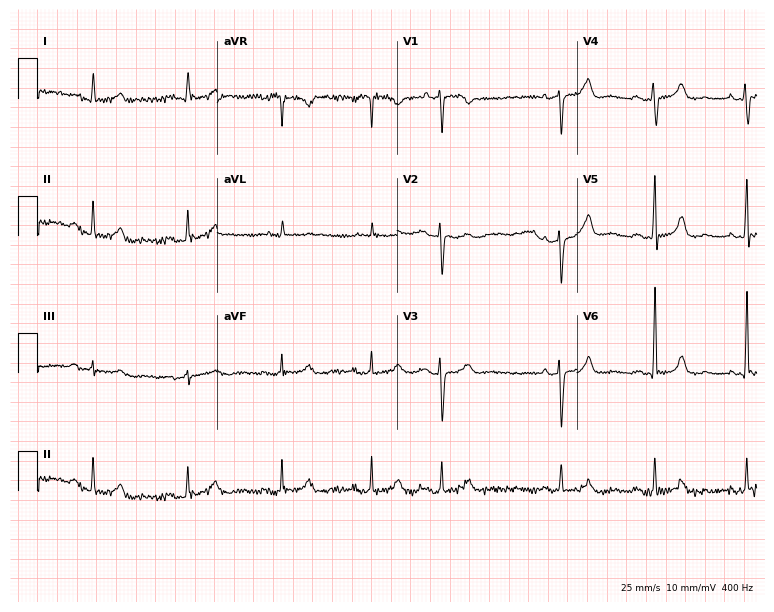
12-lead ECG from a 66-year-old female (7.3-second recording at 400 Hz). No first-degree AV block, right bundle branch block, left bundle branch block, sinus bradycardia, atrial fibrillation or sinus tachycardia recorded for this tracing. Other findings, if any, are not listed.